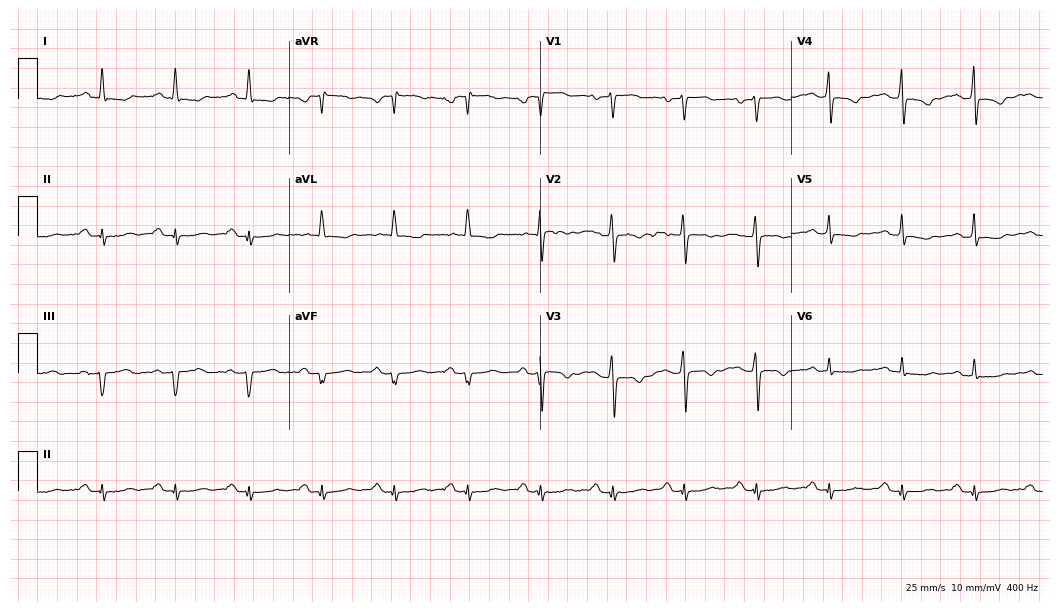
ECG (10.2-second recording at 400 Hz) — a female patient, 51 years old. Screened for six findings — first-degree AV block, right bundle branch block, left bundle branch block, sinus bradycardia, atrial fibrillation, sinus tachycardia — none is recorded.